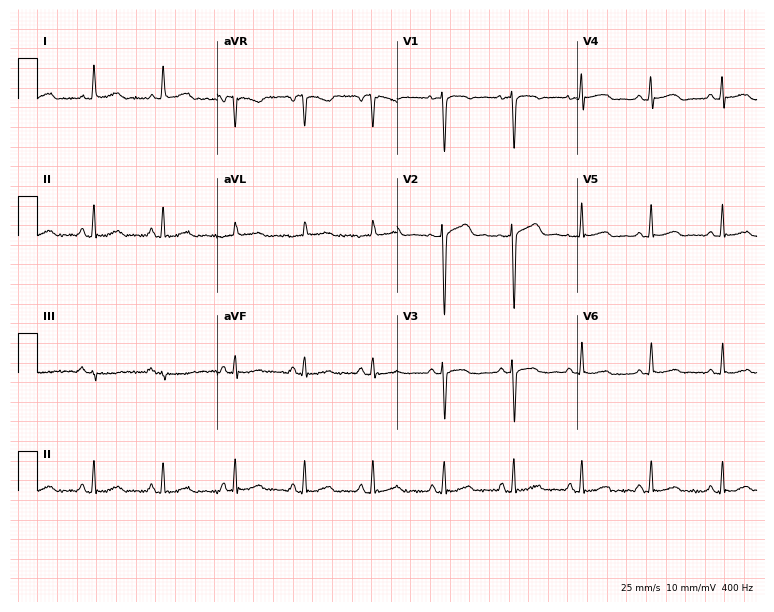
12-lead ECG from a 48-year-old woman. Labelled as a normal ECG.